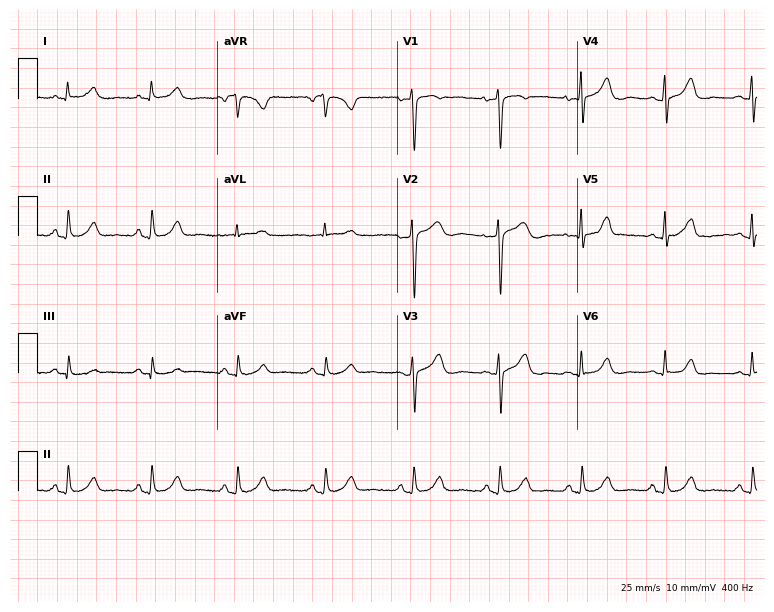
Standard 12-lead ECG recorded from a female, 49 years old (7.3-second recording at 400 Hz). None of these six findings is recorded: first-degree AV block, right bundle branch block, left bundle branch block, sinus bradycardia, atrial fibrillation, sinus tachycardia. Only these six findings were labelled.